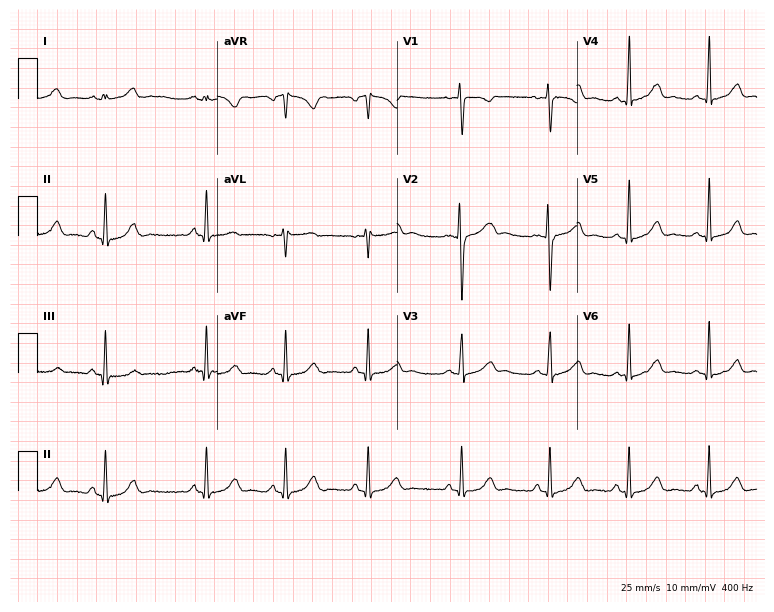
Electrocardiogram, a 24-year-old female. Overall reading on record: normal ECG.